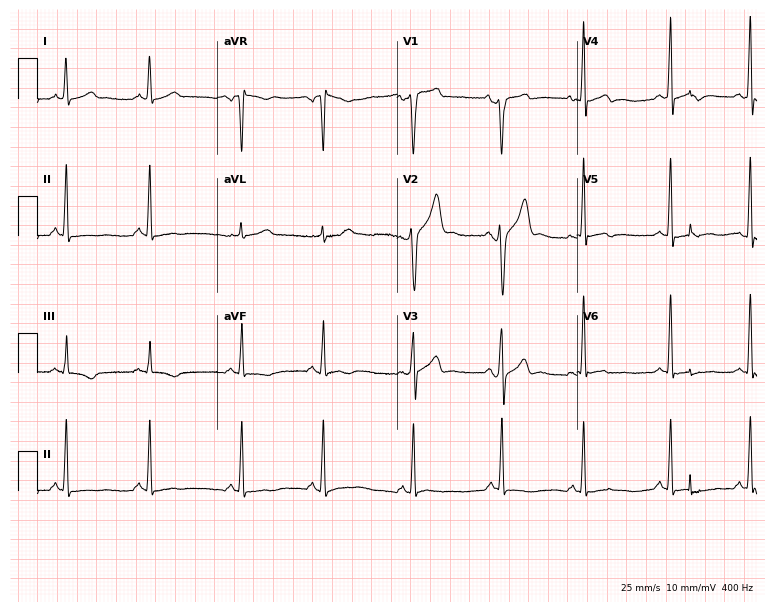
Electrocardiogram (7.3-second recording at 400 Hz), a 42-year-old male. Overall reading on record: normal ECG.